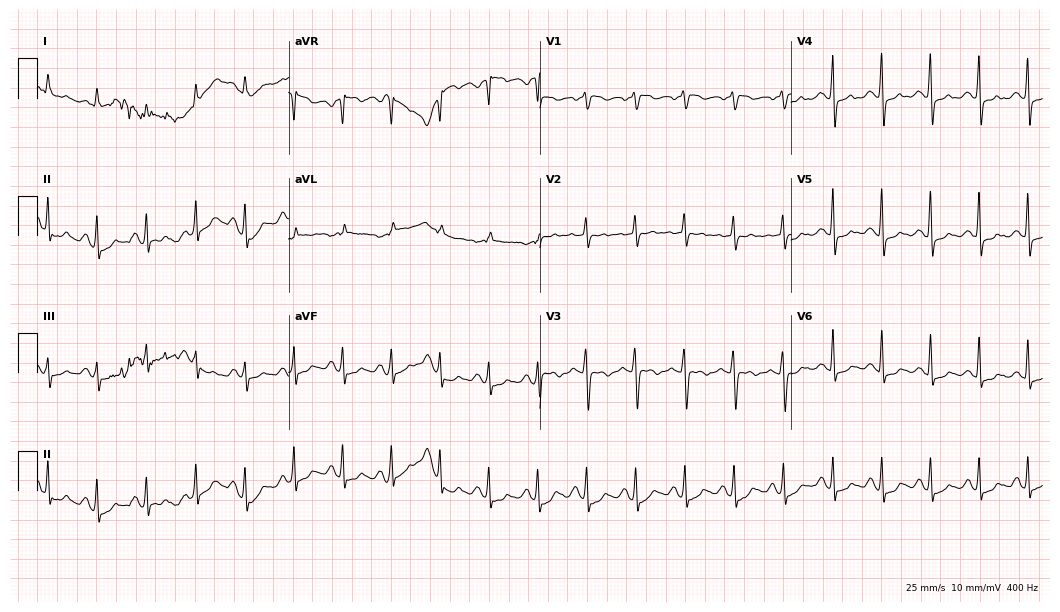
Resting 12-lead electrocardiogram. Patient: a 55-year-old female. The tracing shows sinus tachycardia (a sinus rate of 100 beats per minute or more).